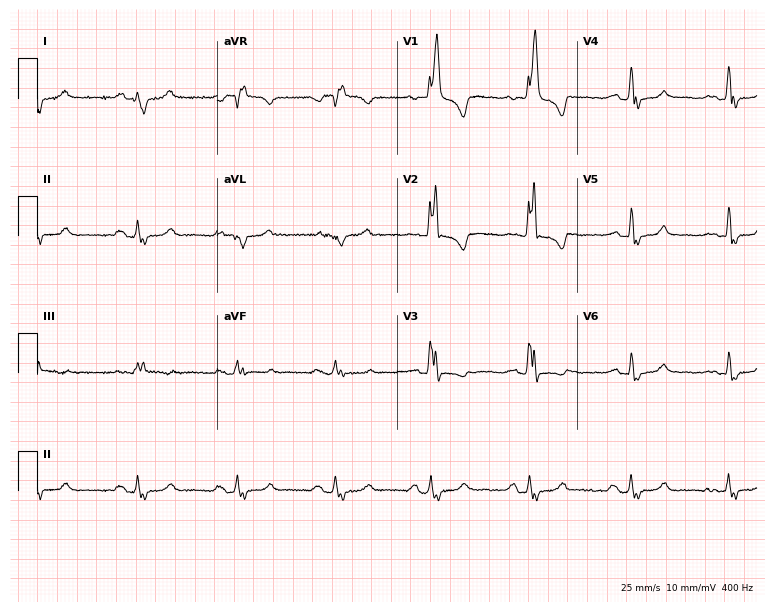
12-lead ECG (7.3-second recording at 400 Hz) from a 58-year-old female. Findings include right bundle branch block.